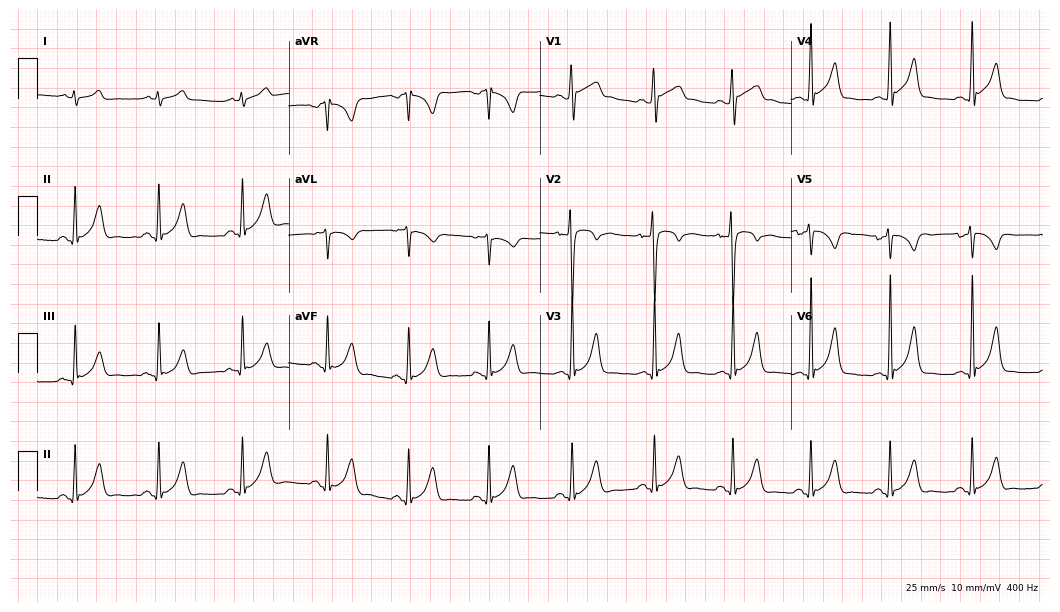
Resting 12-lead electrocardiogram. Patient: a male, 26 years old. Read as a normal ECG.